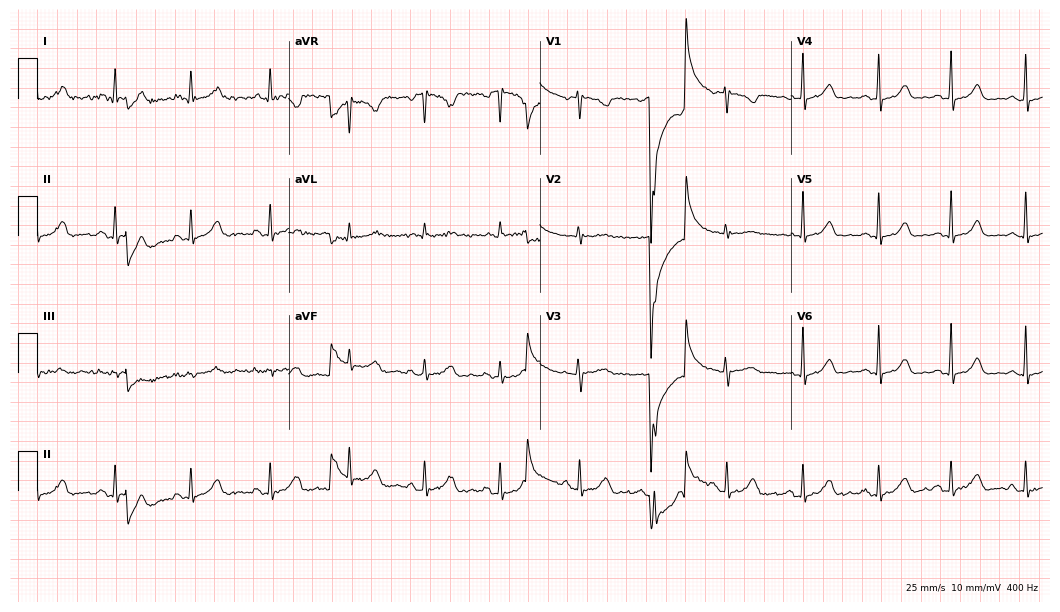
12-lead ECG from a 36-year-old female patient. Screened for six findings — first-degree AV block, right bundle branch block, left bundle branch block, sinus bradycardia, atrial fibrillation, sinus tachycardia — none is recorded.